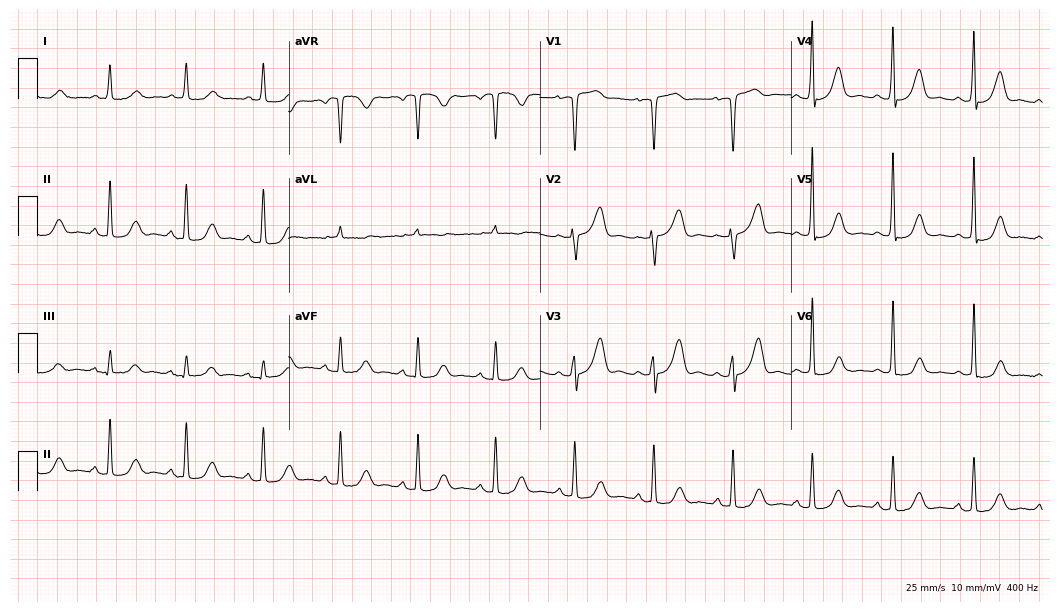
Standard 12-lead ECG recorded from a 62-year-old woman (10.2-second recording at 400 Hz). Read as a normal ECG.